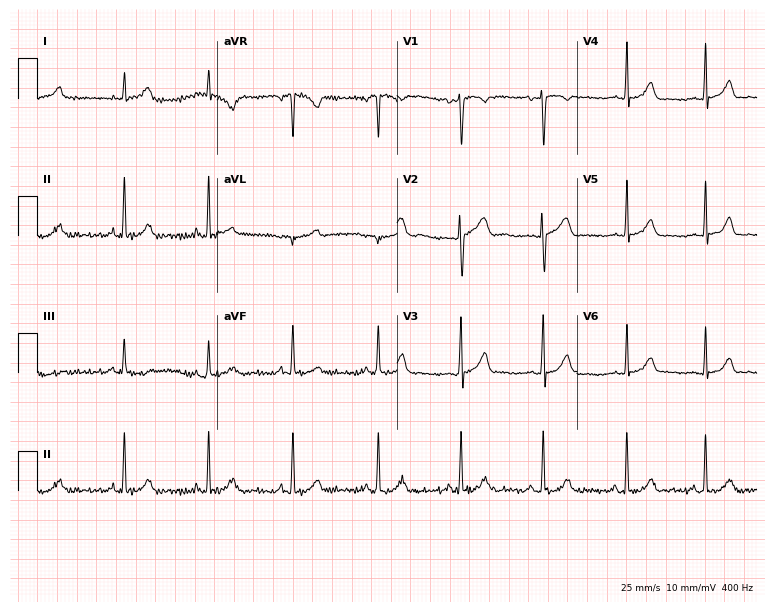
12-lead ECG (7.3-second recording at 400 Hz) from a female, 17 years old. Labelled as a normal ECG.